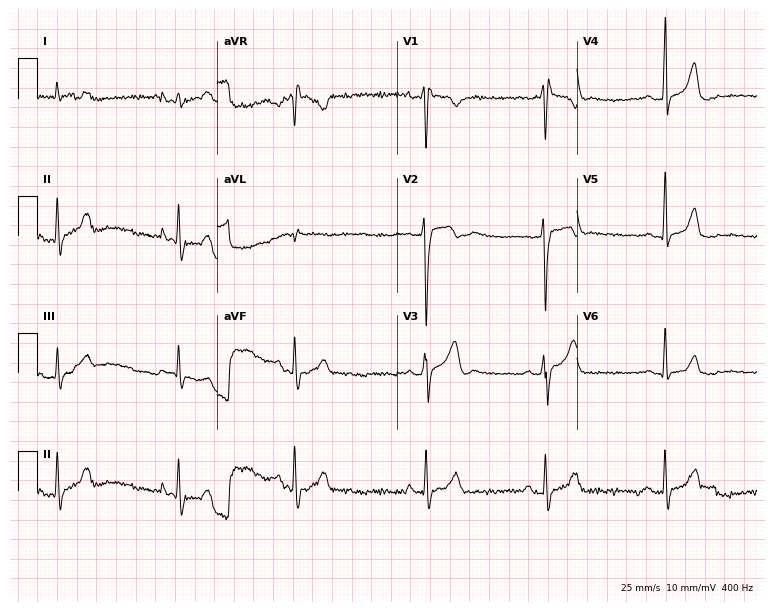
12-lead ECG (7.3-second recording at 400 Hz) from a 24-year-old male. Screened for six findings — first-degree AV block, right bundle branch block, left bundle branch block, sinus bradycardia, atrial fibrillation, sinus tachycardia — none is recorded. Only these six findings were labelled.